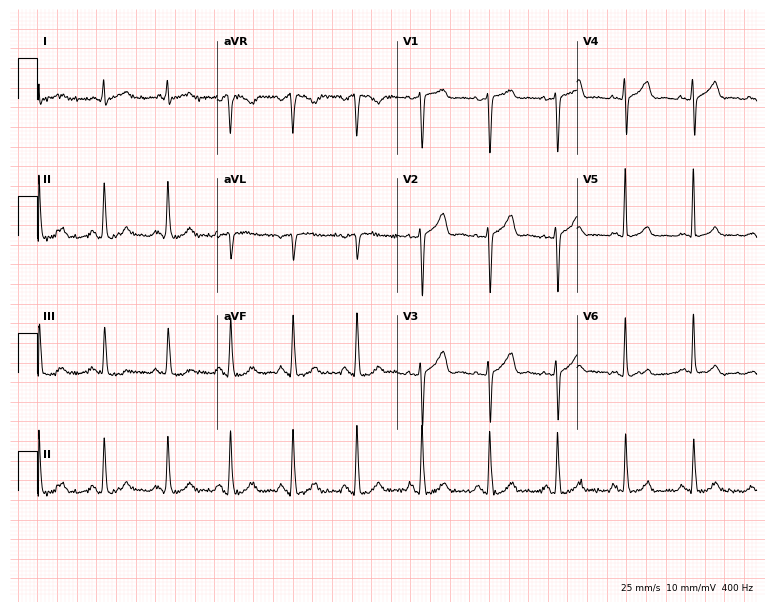
Standard 12-lead ECG recorded from a 60-year-old female patient. None of these six findings is recorded: first-degree AV block, right bundle branch block, left bundle branch block, sinus bradycardia, atrial fibrillation, sinus tachycardia. Findings outside these six are not listed.